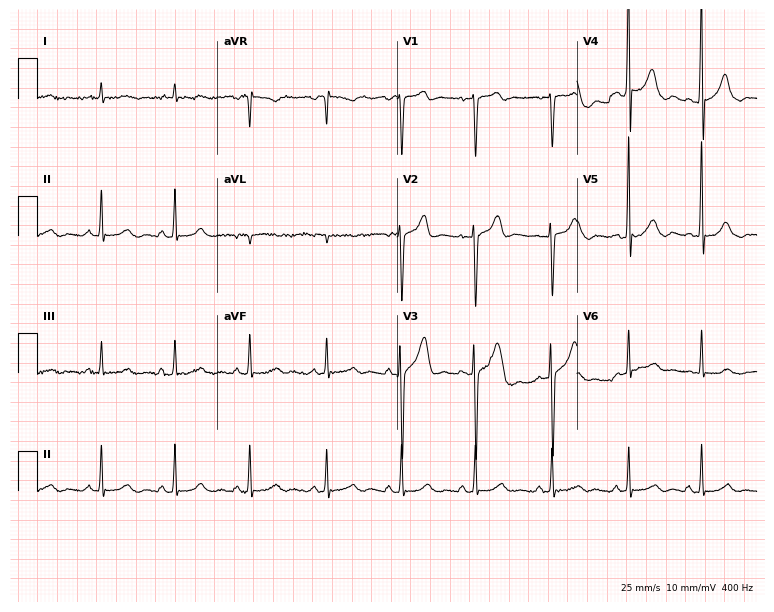
12-lead ECG from a man, 55 years old (7.3-second recording at 400 Hz). Recorded interpretation: within normal limits.